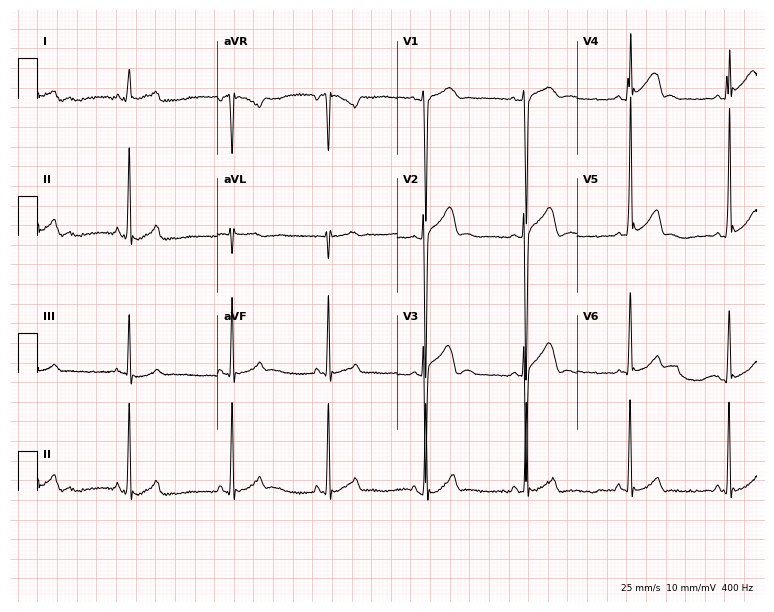
ECG (7.3-second recording at 400 Hz) — a 17-year-old man. Labelled as a normal ECG.